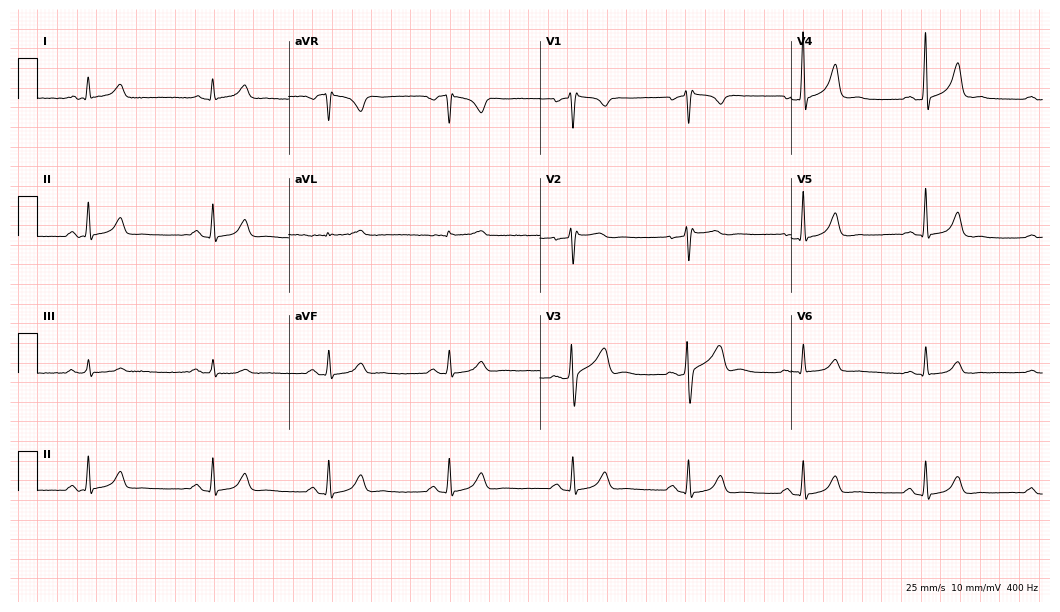
ECG (10.2-second recording at 400 Hz) — a 41-year-old male. Findings include sinus bradycardia (a sinus rate of 50 beats per minute or less).